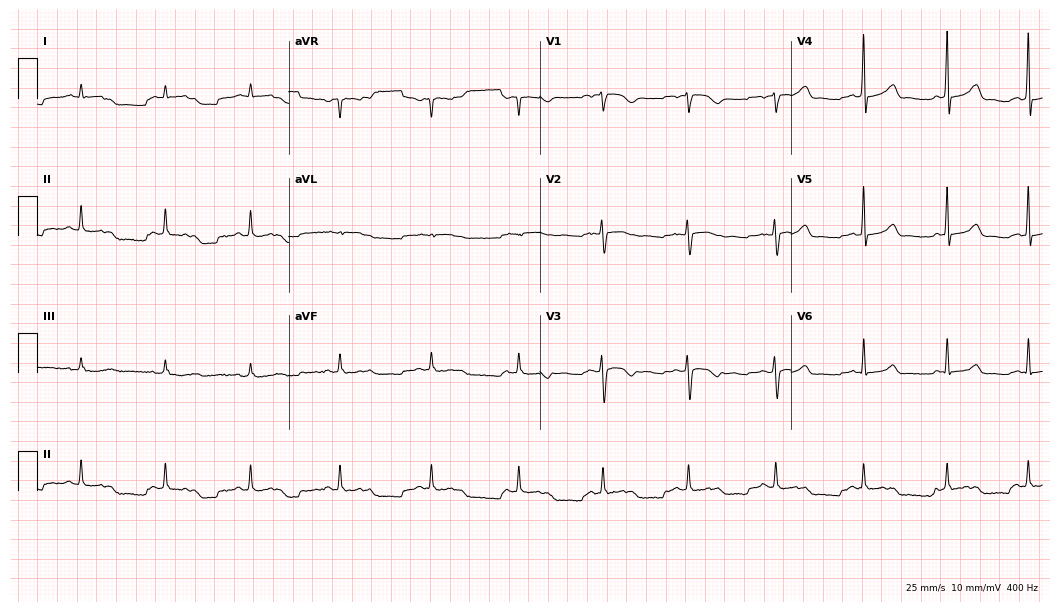
12-lead ECG from a female, 43 years old. Screened for six findings — first-degree AV block, right bundle branch block (RBBB), left bundle branch block (LBBB), sinus bradycardia, atrial fibrillation (AF), sinus tachycardia — none is recorded. Findings outside these six are not listed.